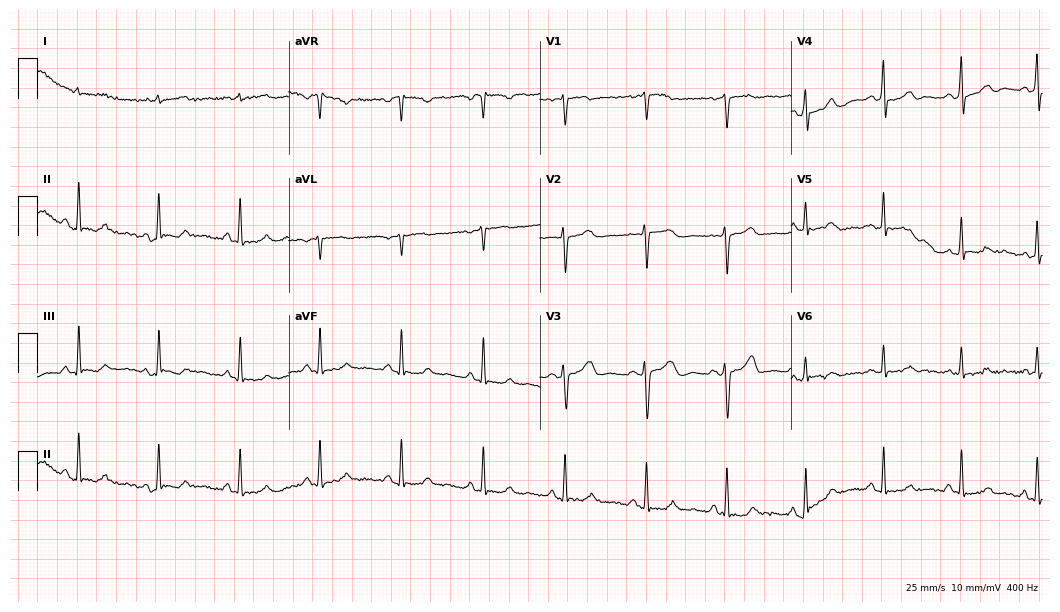
12-lead ECG from a 53-year-old female patient. Labelled as a normal ECG.